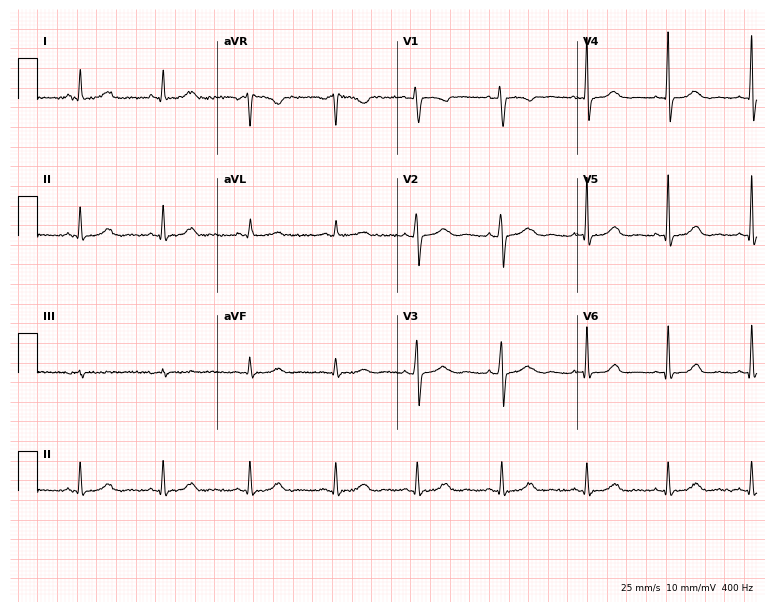
Standard 12-lead ECG recorded from a 39-year-old female patient. Read as a normal ECG.